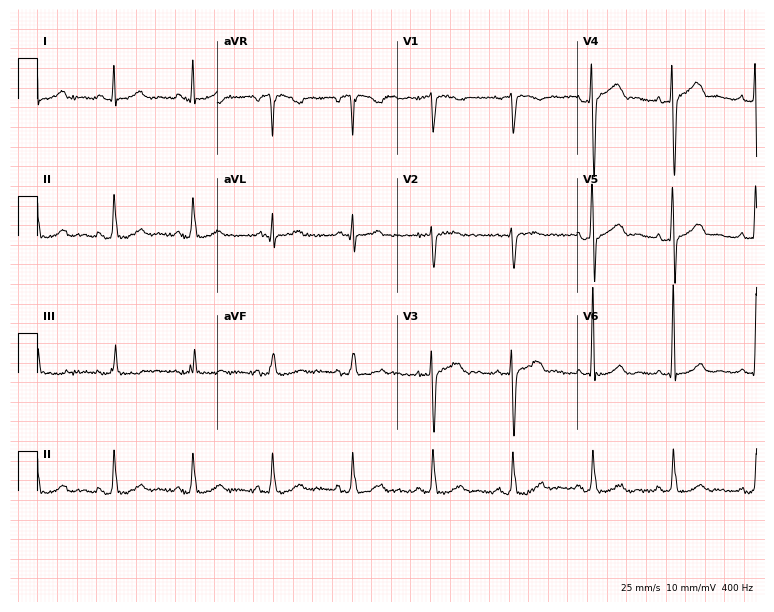
12-lead ECG from a woman, 40 years old. No first-degree AV block, right bundle branch block, left bundle branch block, sinus bradycardia, atrial fibrillation or sinus tachycardia recorded for this tracing.